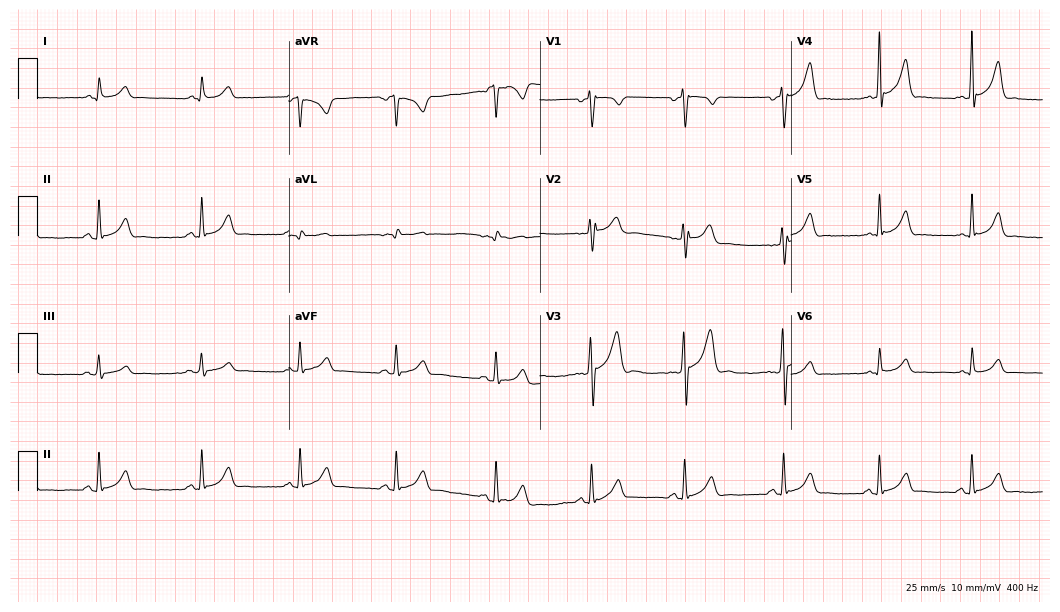
Electrocardiogram (10.2-second recording at 400 Hz), a male patient, 23 years old. Overall reading on record: normal ECG.